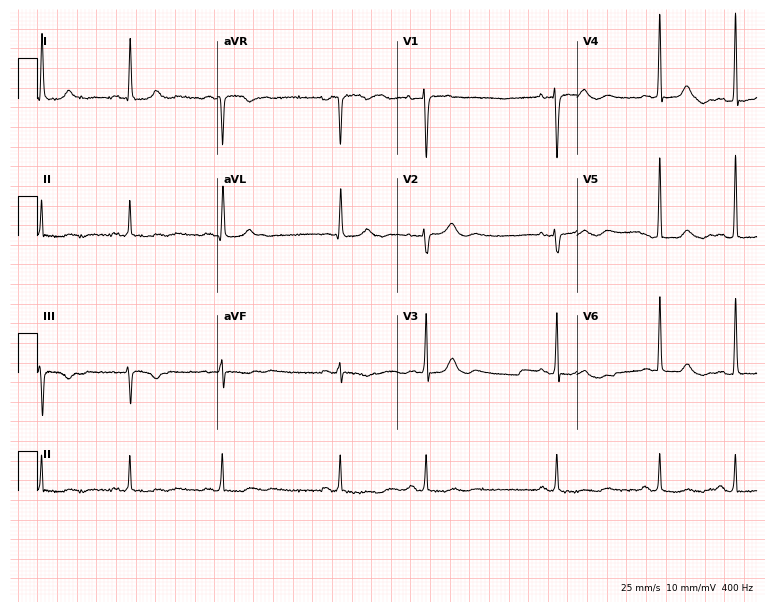
Standard 12-lead ECG recorded from a woman, 69 years old (7.3-second recording at 400 Hz). None of these six findings is recorded: first-degree AV block, right bundle branch block, left bundle branch block, sinus bradycardia, atrial fibrillation, sinus tachycardia.